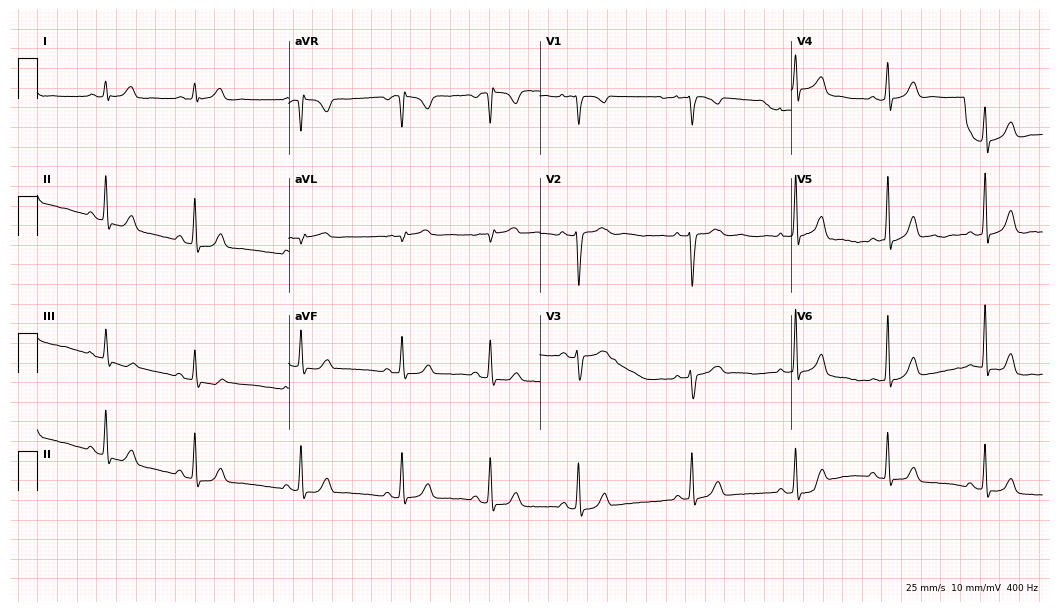
Standard 12-lead ECG recorded from a woman, 18 years old. Read as a normal ECG.